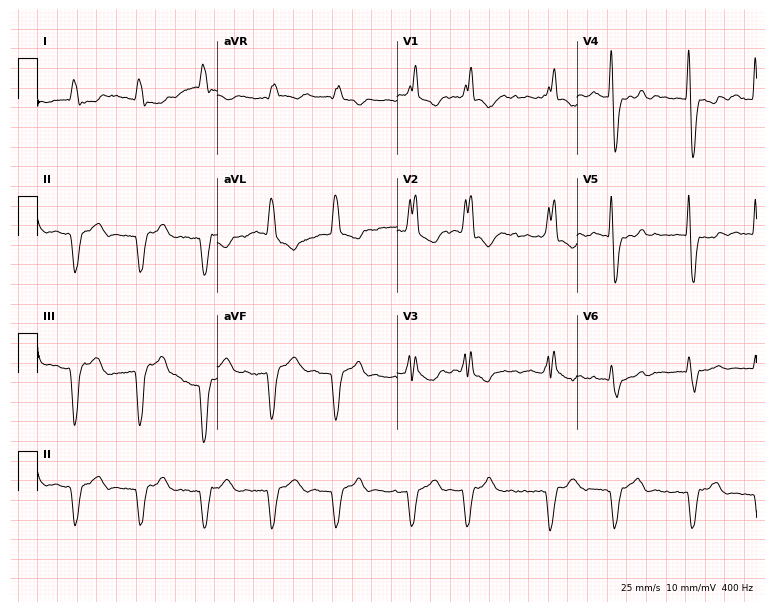
Standard 12-lead ECG recorded from a male patient, 85 years old. The tracing shows right bundle branch block, atrial fibrillation.